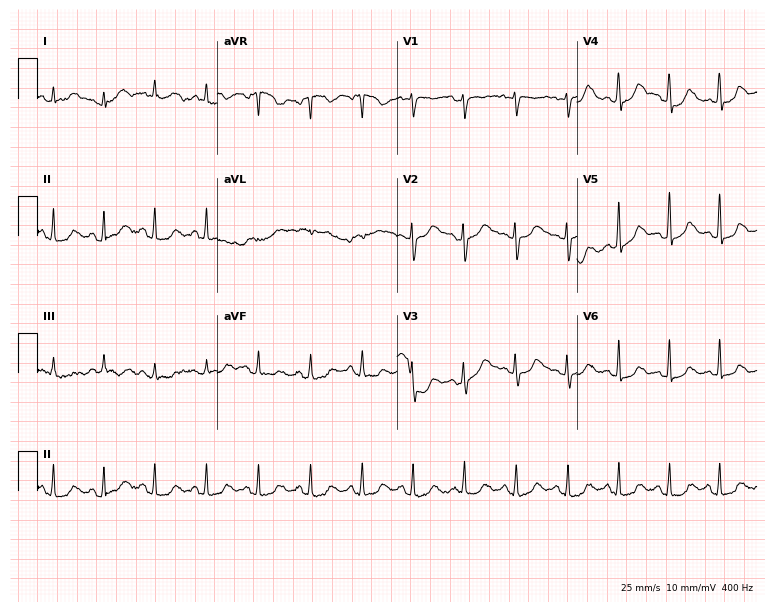
Resting 12-lead electrocardiogram. Patient: a woman, 60 years old. The tracing shows sinus tachycardia (a sinus rate of 100 beats per minute or more).